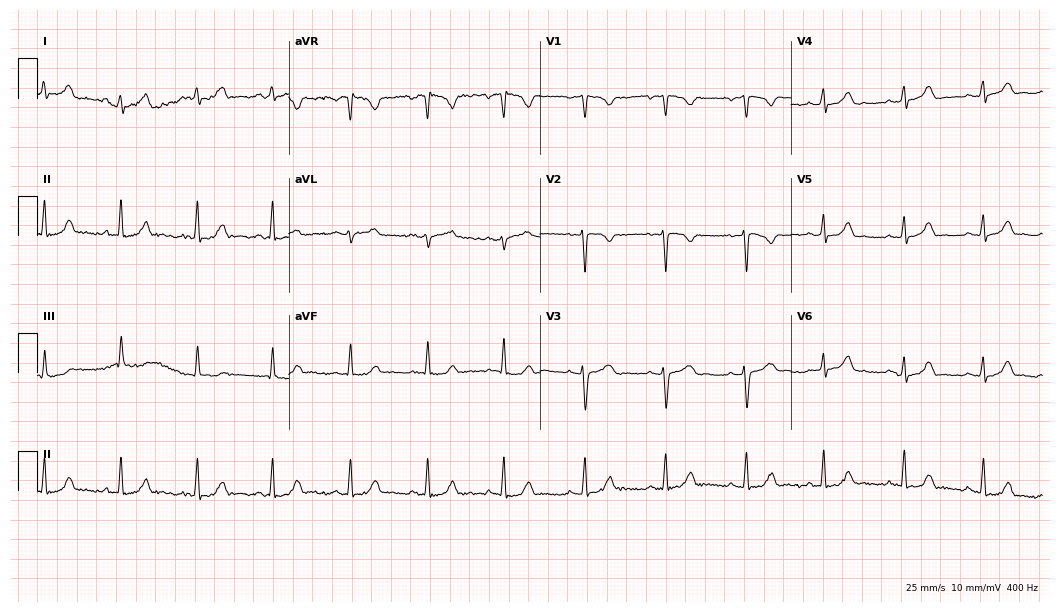
Resting 12-lead electrocardiogram. Patient: a female, 18 years old. Read as a normal ECG.